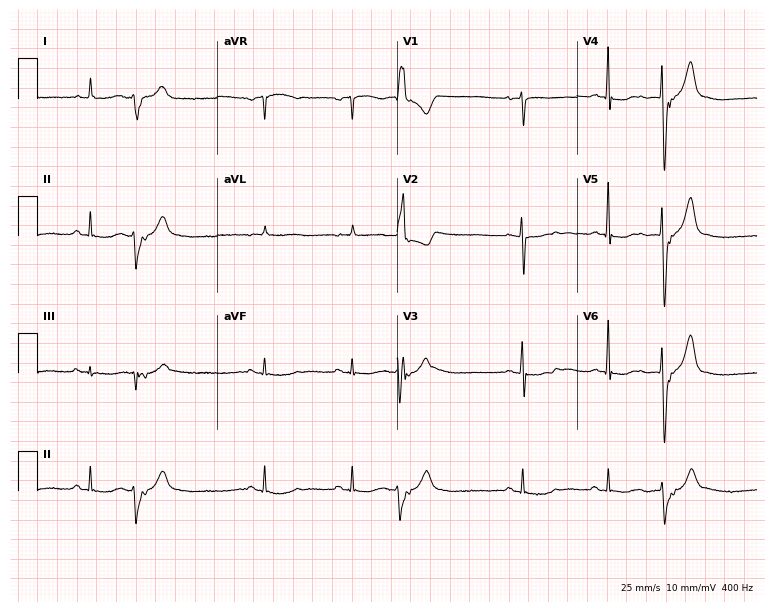
Resting 12-lead electrocardiogram. Patient: a female, 85 years old. None of these six findings is recorded: first-degree AV block, right bundle branch block, left bundle branch block, sinus bradycardia, atrial fibrillation, sinus tachycardia.